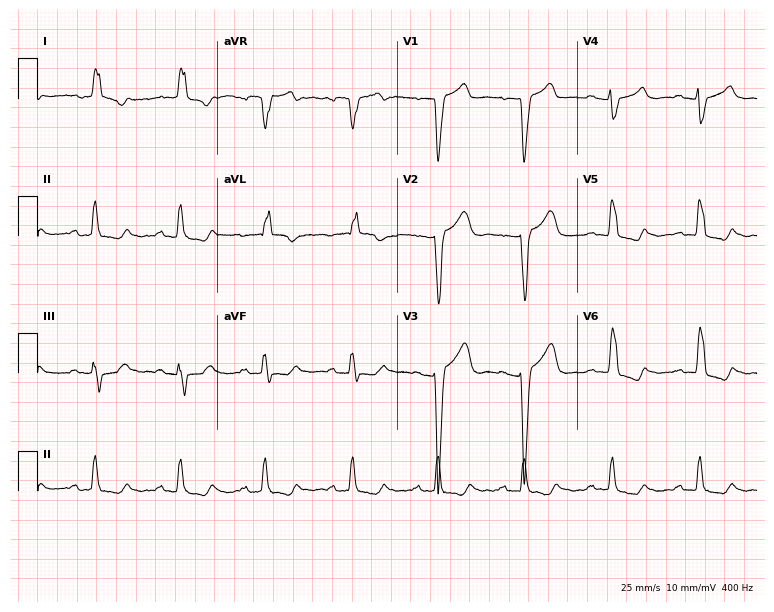
12-lead ECG (7.3-second recording at 400 Hz) from a 61-year-old woman. Findings include left bundle branch block.